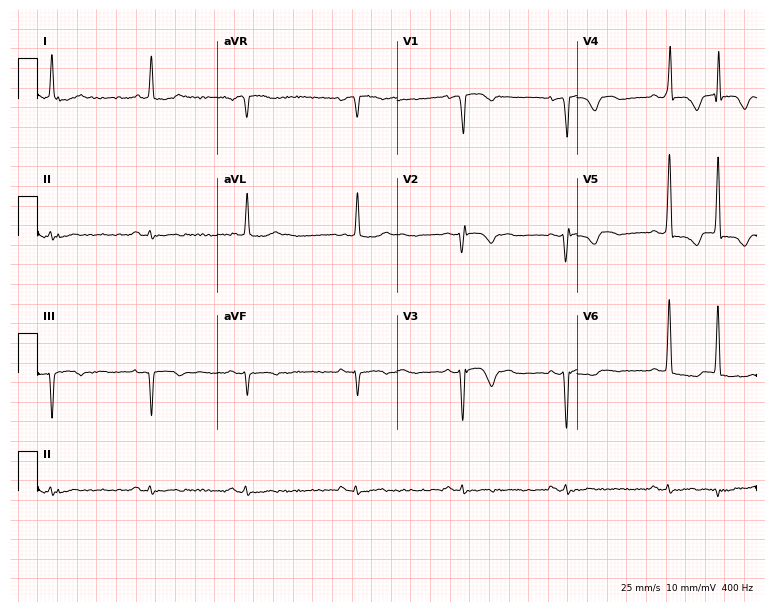
12-lead ECG from an 84-year-old woman. No first-degree AV block, right bundle branch block (RBBB), left bundle branch block (LBBB), sinus bradycardia, atrial fibrillation (AF) or sinus tachycardia recorded for this tracing.